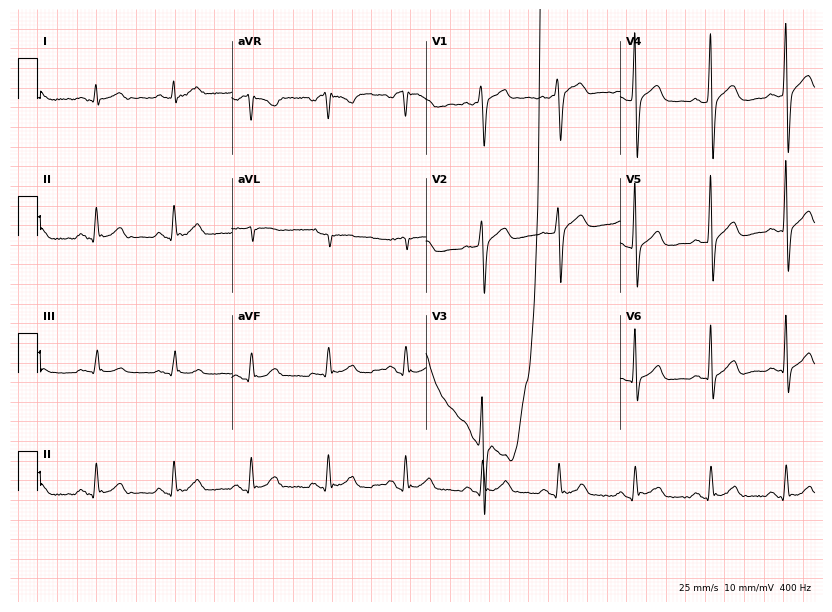
ECG (7.9-second recording at 400 Hz) — a 44-year-old male. Screened for six findings — first-degree AV block, right bundle branch block, left bundle branch block, sinus bradycardia, atrial fibrillation, sinus tachycardia — none is recorded.